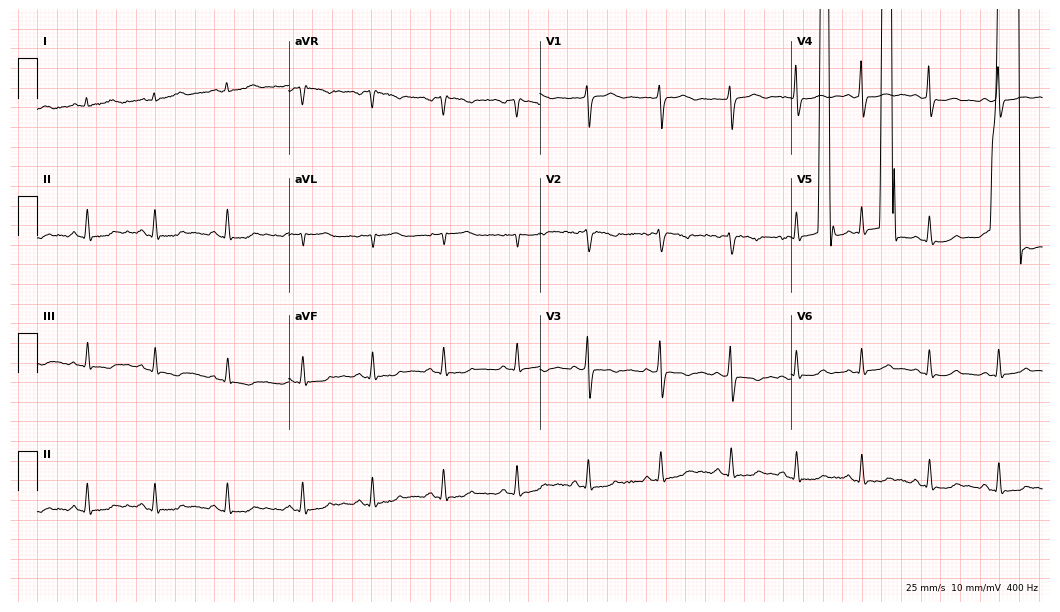
12-lead ECG from a 37-year-old female patient. No first-degree AV block, right bundle branch block, left bundle branch block, sinus bradycardia, atrial fibrillation or sinus tachycardia recorded for this tracing. Other findings, if any, are not listed.